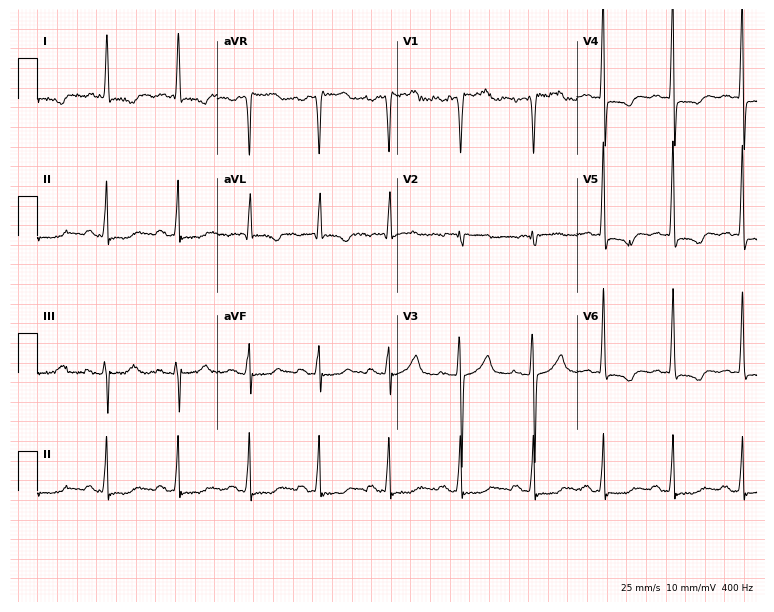
Electrocardiogram (7.3-second recording at 400 Hz), a woman, 75 years old. Of the six screened findings (first-degree AV block, right bundle branch block (RBBB), left bundle branch block (LBBB), sinus bradycardia, atrial fibrillation (AF), sinus tachycardia), none is recorded.